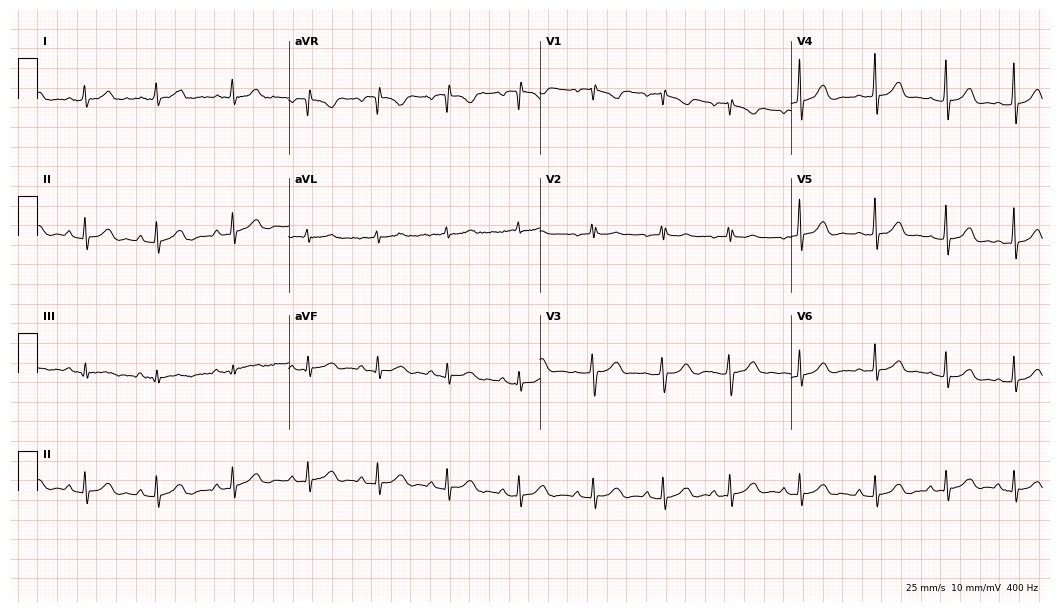
Standard 12-lead ECG recorded from a 19-year-old female patient. None of these six findings is recorded: first-degree AV block, right bundle branch block (RBBB), left bundle branch block (LBBB), sinus bradycardia, atrial fibrillation (AF), sinus tachycardia.